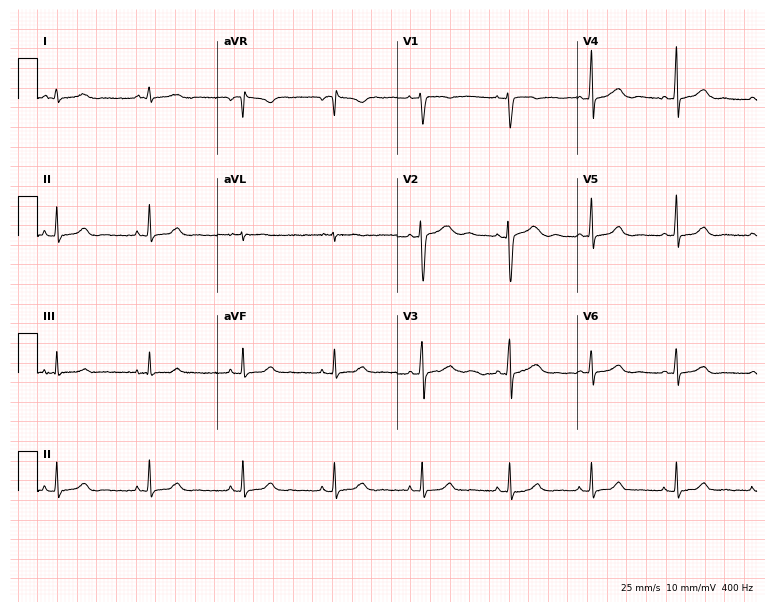
Electrocardiogram (7.3-second recording at 400 Hz), a woman, 37 years old. Of the six screened findings (first-degree AV block, right bundle branch block (RBBB), left bundle branch block (LBBB), sinus bradycardia, atrial fibrillation (AF), sinus tachycardia), none is recorded. Only these six findings were labelled.